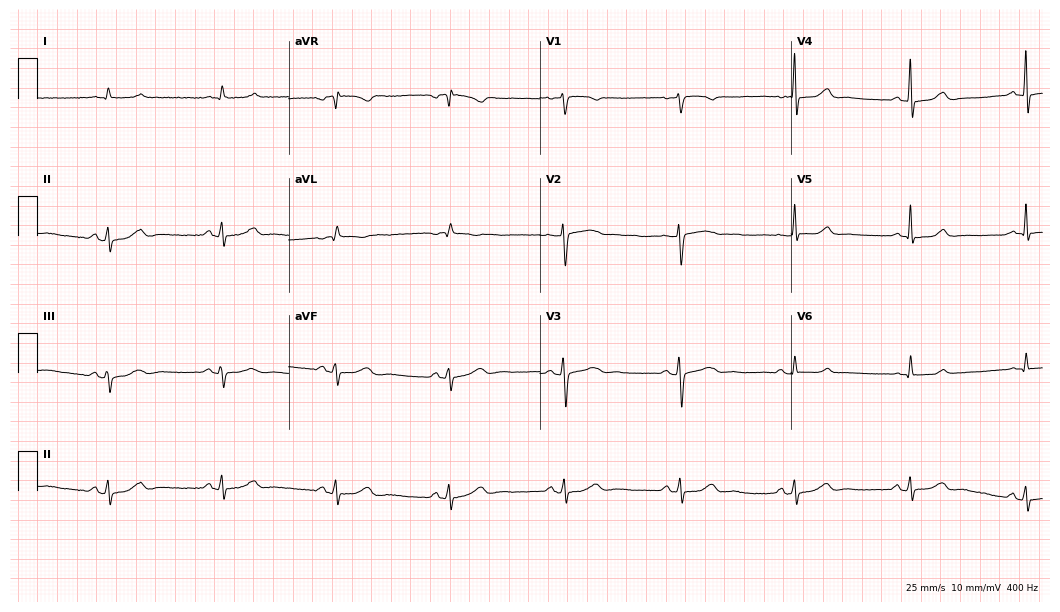
Standard 12-lead ECG recorded from a 71-year-old woman. Read as a normal ECG.